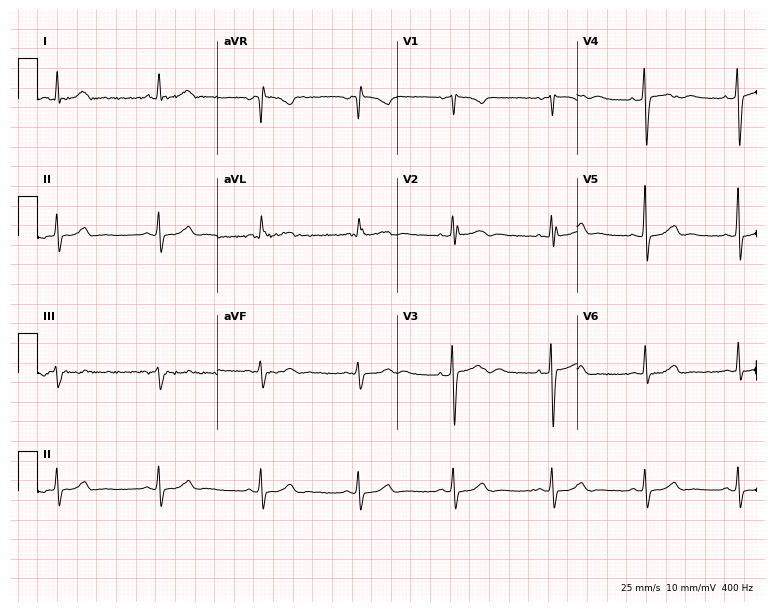
12-lead ECG (7.3-second recording at 400 Hz) from a woman, 36 years old. Screened for six findings — first-degree AV block, right bundle branch block, left bundle branch block, sinus bradycardia, atrial fibrillation, sinus tachycardia — none is recorded. Only these six findings were labelled.